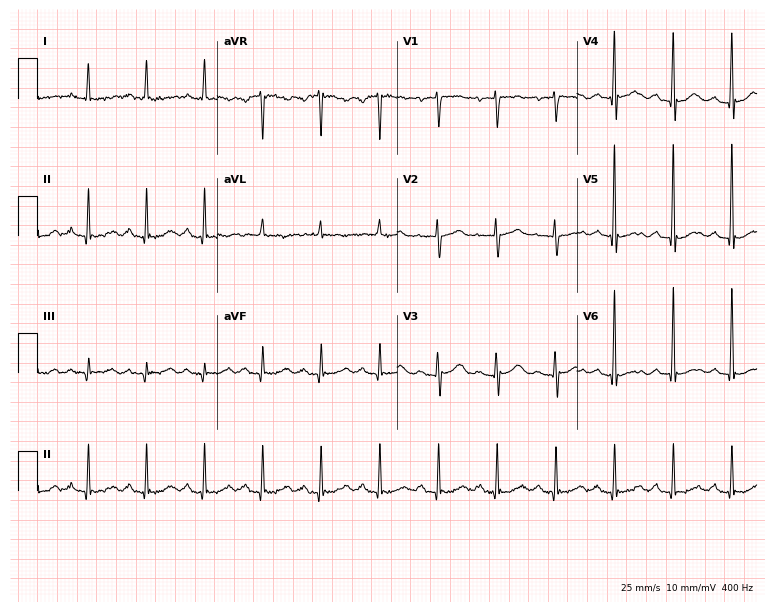
Standard 12-lead ECG recorded from a 74-year-old woman. The tracing shows sinus tachycardia (a sinus rate of 100 beats per minute or more).